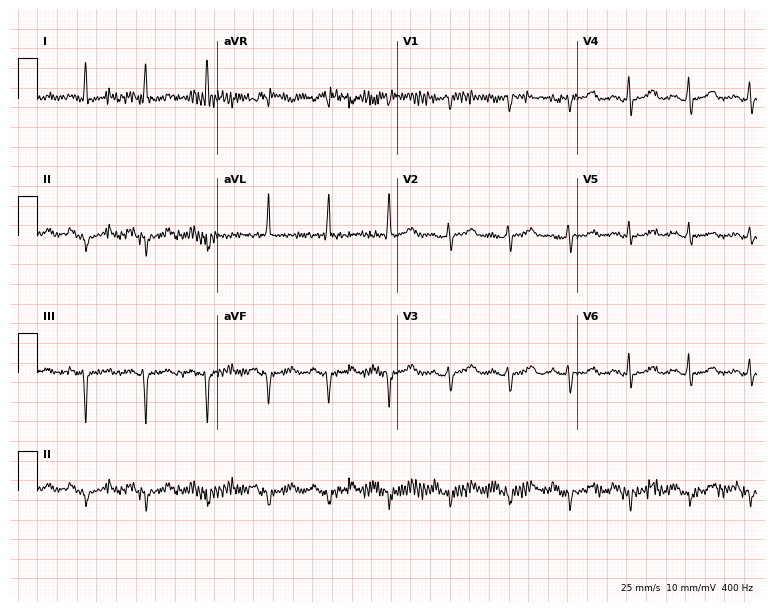
12-lead ECG from a 55-year-old woman (7.3-second recording at 400 Hz). No first-degree AV block, right bundle branch block, left bundle branch block, sinus bradycardia, atrial fibrillation or sinus tachycardia recorded for this tracing.